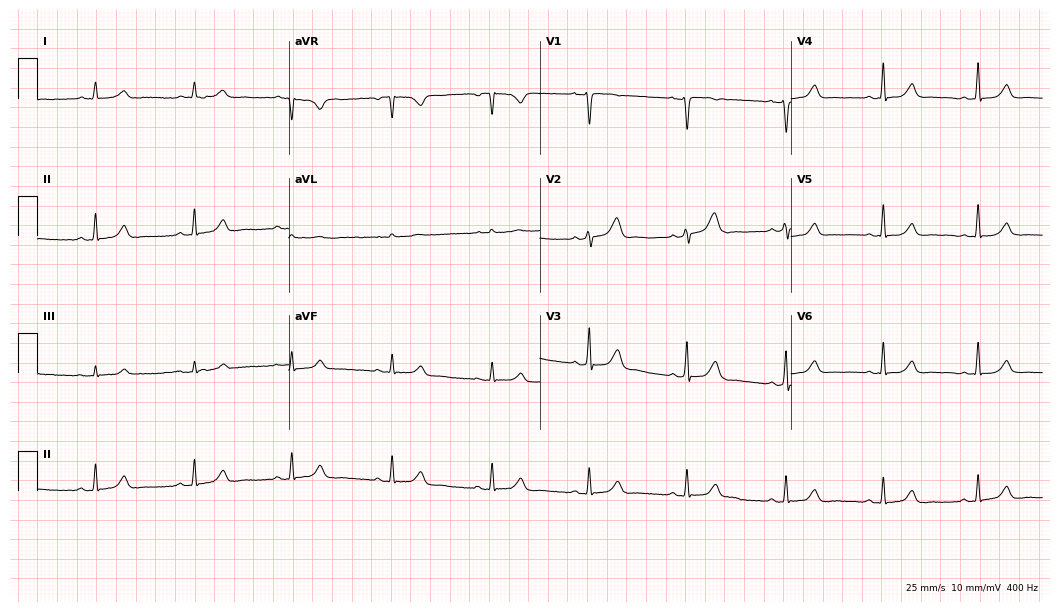
12-lead ECG from a 39-year-old female patient (10.2-second recording at 400 Hz). Recorded interpretation: within normal limits.